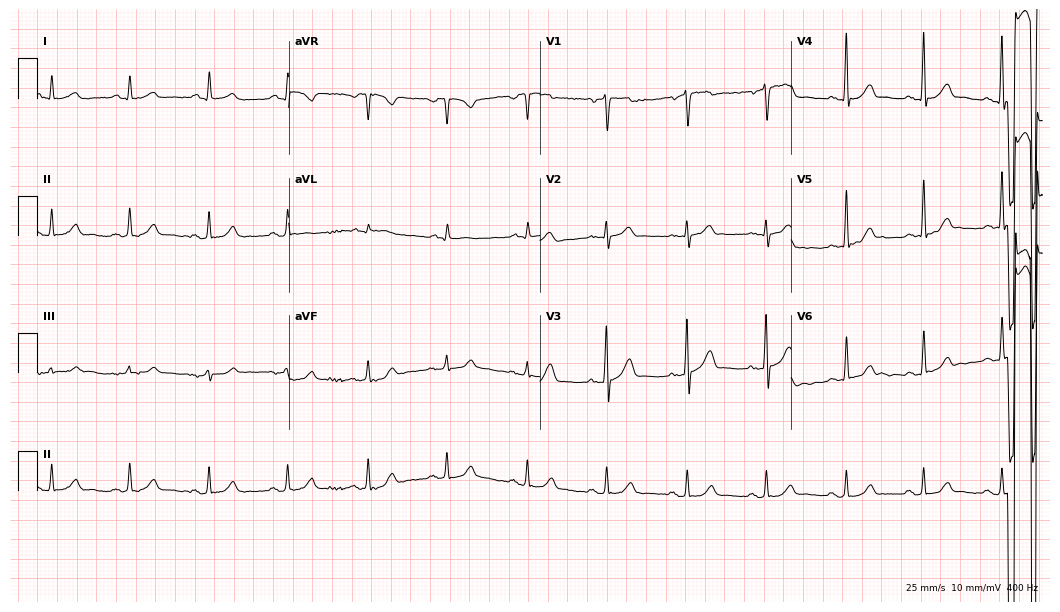
Standard 12-lead ECG recorded from a 65-year-old male patient (10.2-second recording at 400 Hz). None of these six findings is recorded: first-degree AV block, right bundle branch block, left bundle branch block, sinus bradycardia, atrial fibrillation, sinus tachycardia.